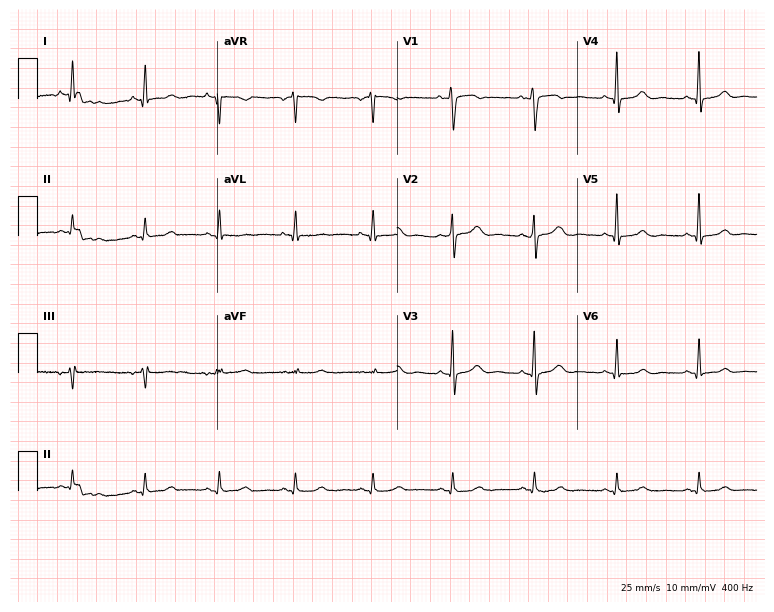
ECG (7.3-second recording at 400 Hz) — a 37-year-old woman. Labelled as a normal ECG.